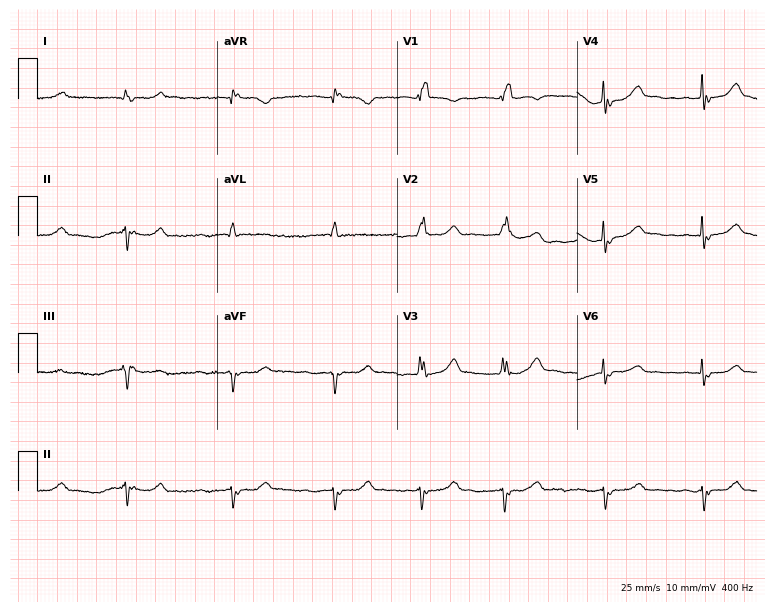
12-lead ECG (7.3-second recording at 400 Hz) from a female patient, 80 years old. Findings include right bundle branch block, atrial fibrillation.